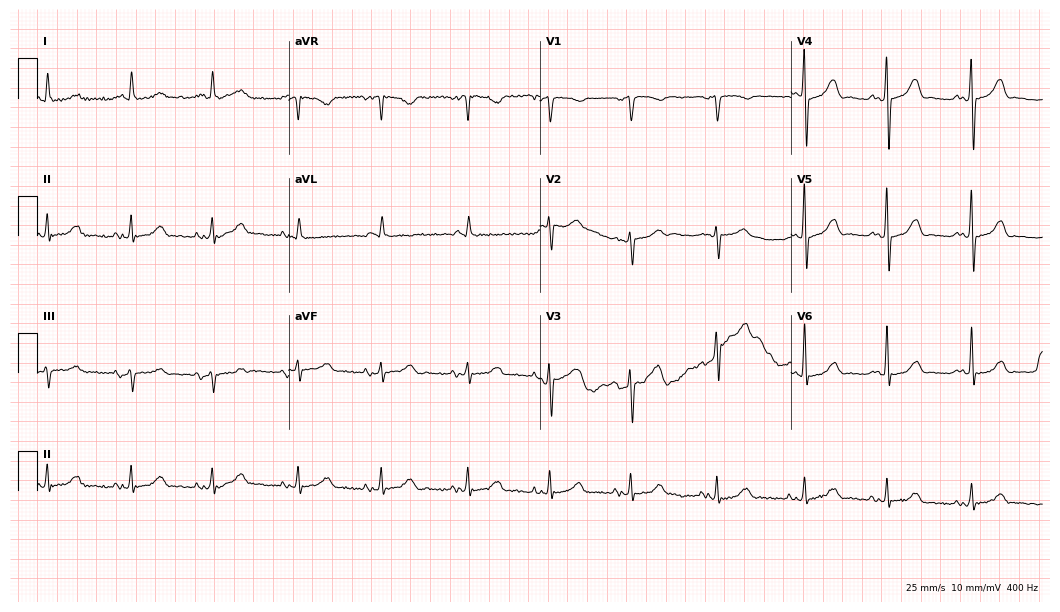
Electrocardiogram, a male, 82 years old. Of the six screened findings (first-degree AV block, right bundle branch block (RBBB), left bundle branch block (LBBB), sinus bradycardia, atrial fibrillation (AF), sinus tachycardia), none is recorded. Other findings, if any, are not listed.